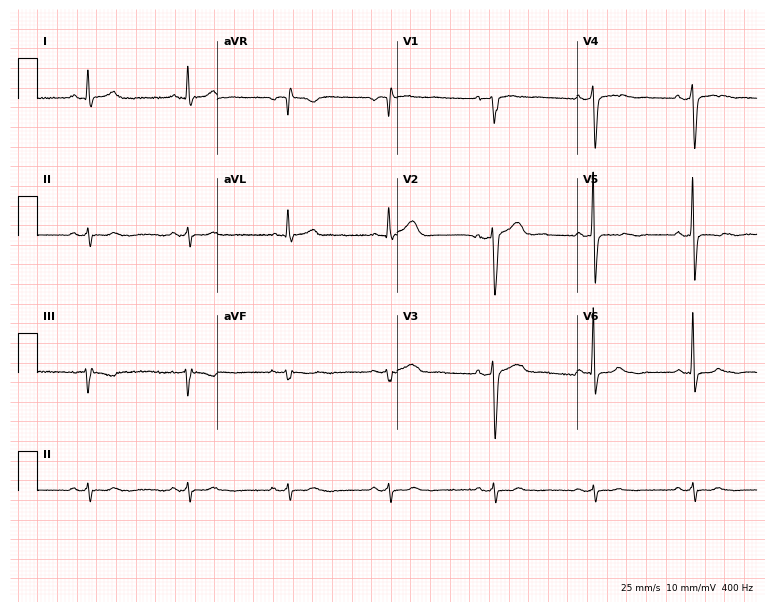
ECG (7.3-second recording at 400 Hz) — a 67-year-old male. Labelled as a normal ECG.